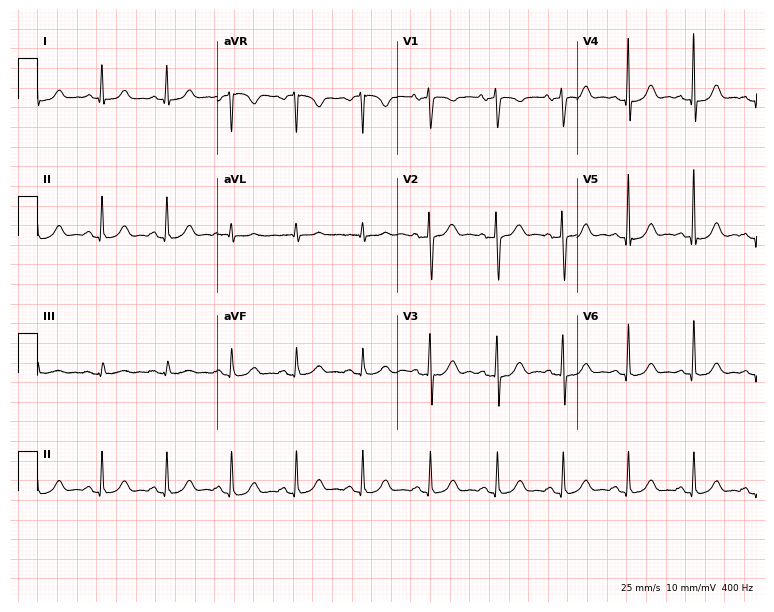
Standard 12-lead ECG recorded from a 48-year-old woman. None of these six findings is recorded: first-degree AV block, right bundle branch block, left bundle branch block, sinus bradycardia, atrial fibrillation, sinus tachycardia.